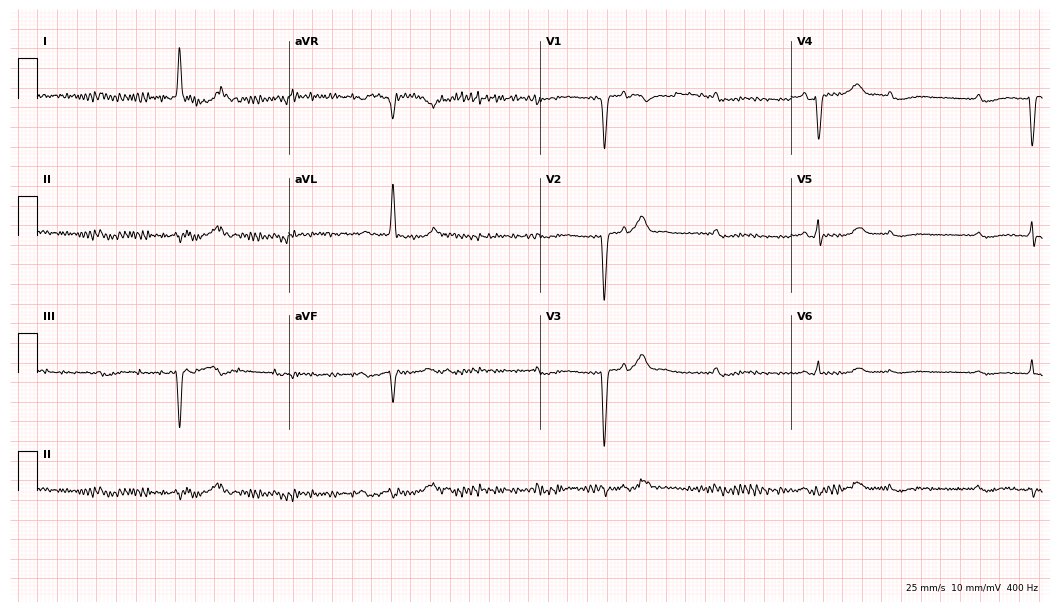
Resting 12-lead electrocardiogram. Patient: a woman, 71 years old. None of these six findings is recorded: first-degree AV block, right bundle branch block, left bundle branch block, sinus bradycardia, atrial fibrillation, sinus tachycardia. Only these six findings were labelled.